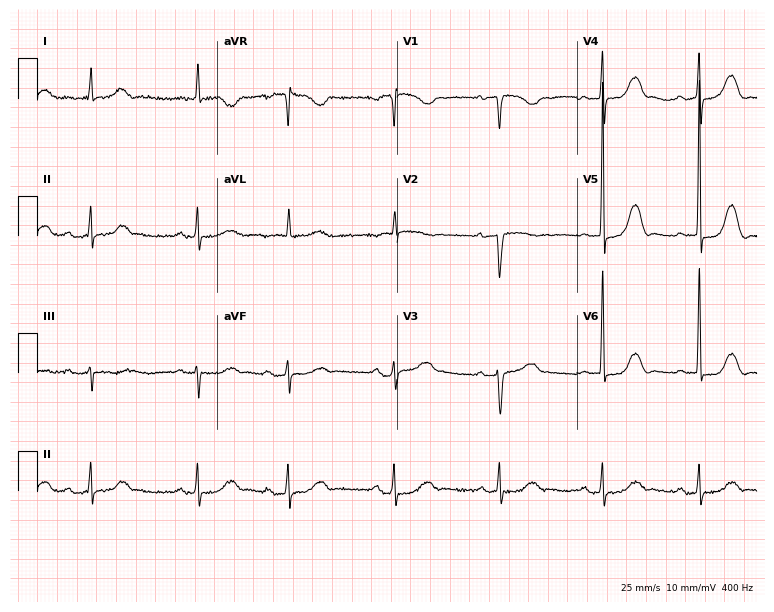
ECG (7.3-second recording at 400 Hz) — a female patient, 76 years old. Screened for six findings — first-degree AV block, right bundle branch block, left bundle branch block, sinus bradycardia, atrial fibrillation, sinus tachycardia — none is recorded. Other findings, if any, are not listed.